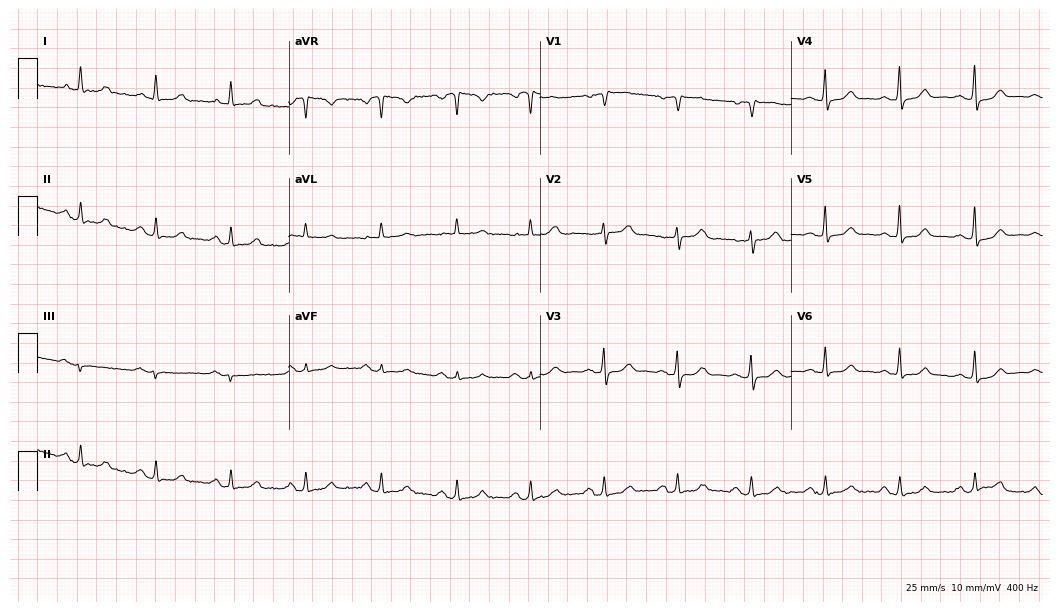
Resting 12-lead electrocardiogram (10.2-second recording at 400 Hz). Patient: a 66-year-old woman. Read as a normal ECG.